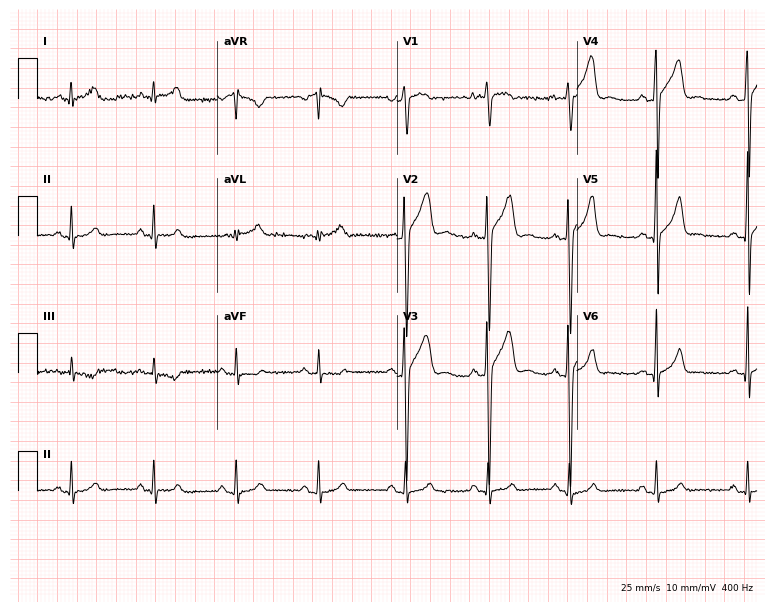
ECG — a 28-year-old male. Labelled as a normal ECG.